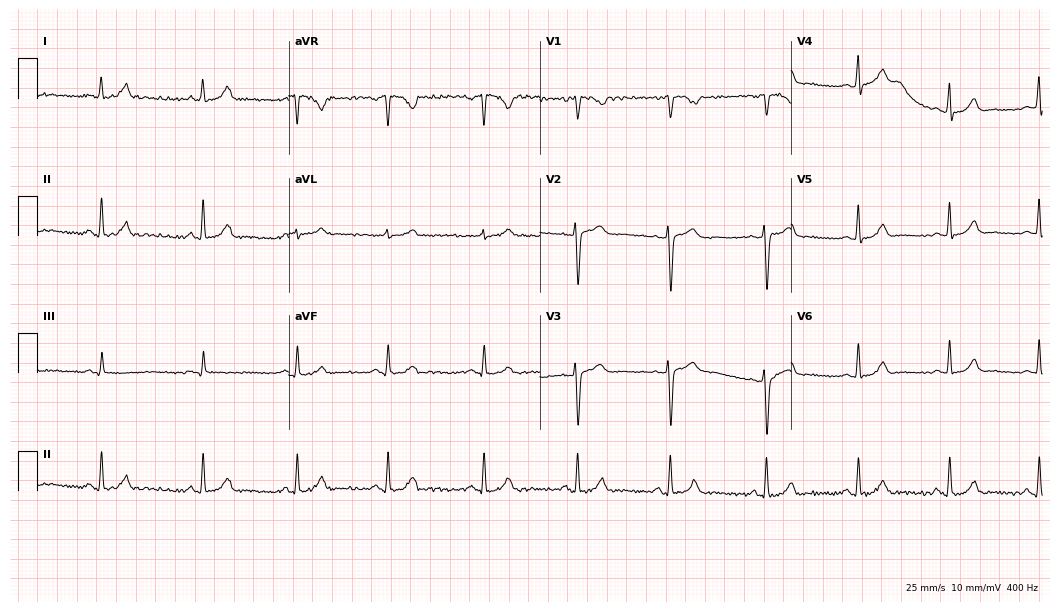
Standard 12-lead ECG recorded from a female, 25 years old (10.2-second recording at 400 Hz). None of these six findings is recorded: first-degree AV block, right bundle branch block, left bundle branch block, sinus bradycardia, atrial fibrillation, sinus tachycardia.